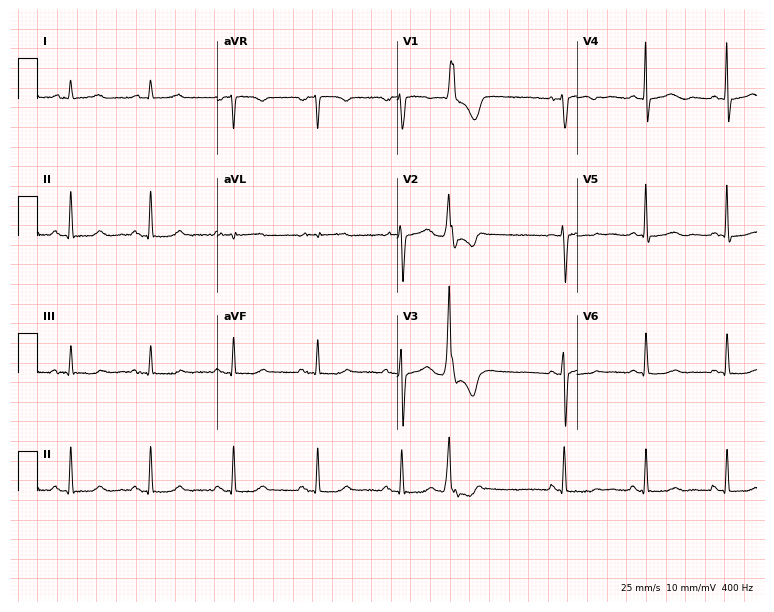
12-lead ECG from a female patient, 69 years old (7.3-second recording at 400 Hz). Recorded interpretation: within normal limits.